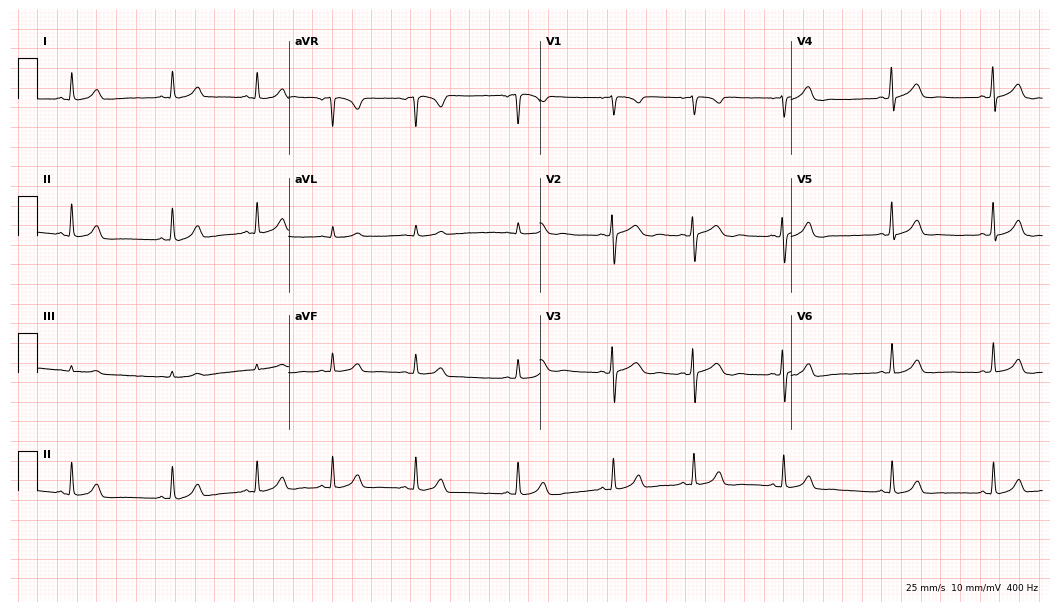
Electrocardiogram (10.2-second recording at 400 Hz), a 21-year-old female patient. Overall reading on record: normal ECG.